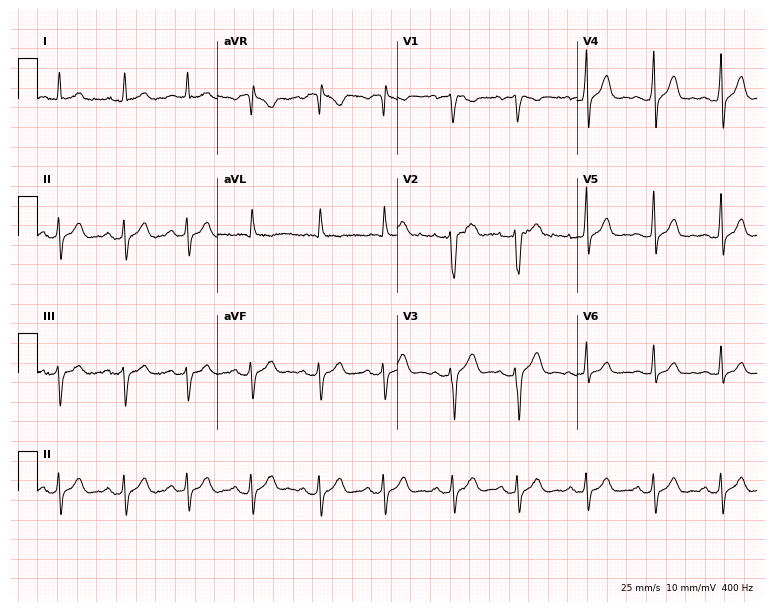
Resting 12-lead electrocardiogram. Patient: a male, 49 years old. None of these six findings is recorded: first-degree AV block, right bundle branch block (RBBB), left bundle branch block (LBBB), sinus bradycardia, atrial fibrillation (AF), sinus tachycardia.